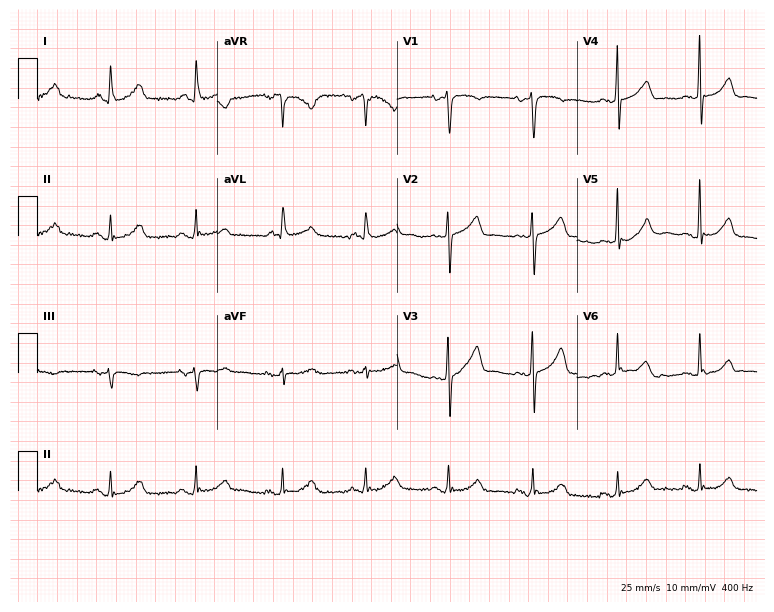
Standard 12-lead ECG recorded from a woman, 77 years old (7.3-second recording at 400 Hz). Read as a normal ECG.